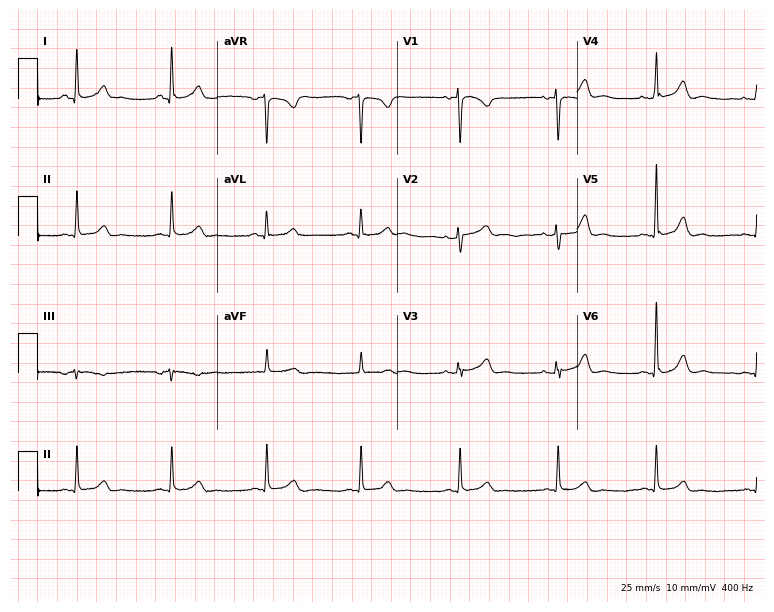
12-lead ECG (7.3-second recording at 400 Hz) from a 48-year-old female. Labelled as a normal ECG.